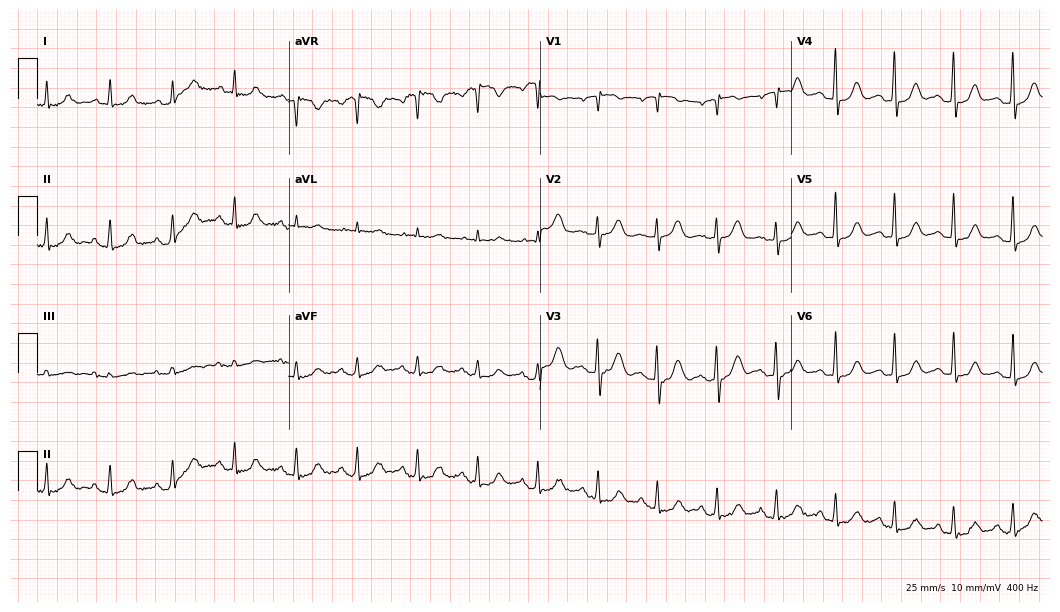
12-lead ECG from a 70-year-old female patient (10.2-second recording at 400 Hz). Recorded interpretation: within normal limits.